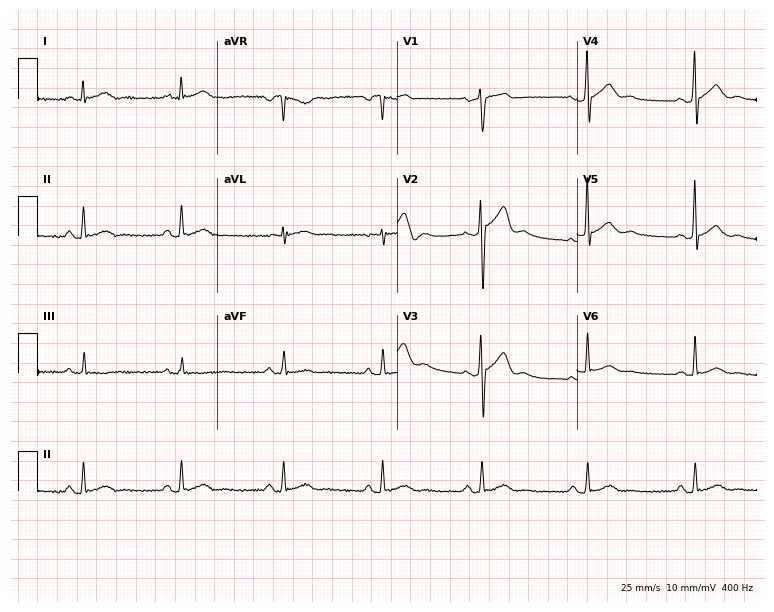
ECG — a male patient, 41 years old. Screened for six findings — first-degree AV block, right bundle branch block (RBBB), left bundle branch block (LBBB), sinus bradycardia, atrial fibrillation (AF), sinus tachycardia — none is recorded.